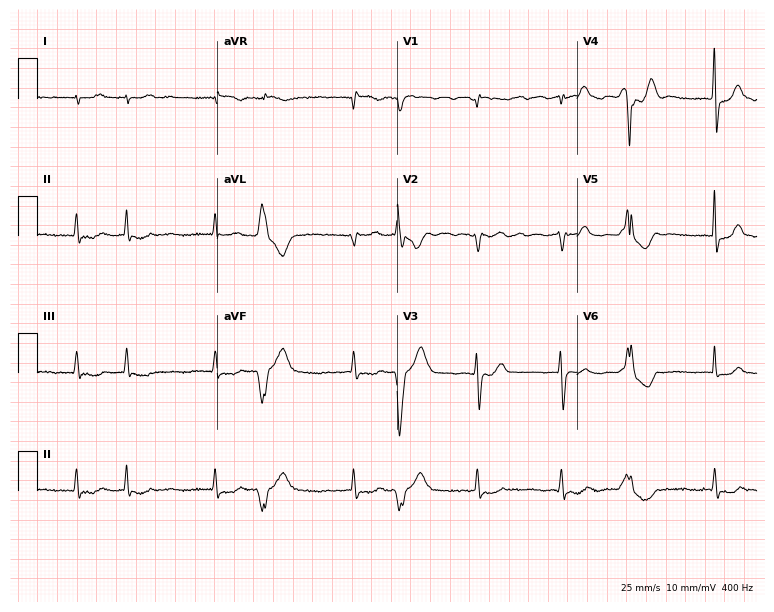
12-lead ECG (7.3-second recording at 400 Hz) from a woman, 72 years old. Screened for six findings — first-degree AV block, right bundle branch block, left bundle branch block, sinus bradycardia, atrial fibrillation, sinus tachycardia — none is recorded.